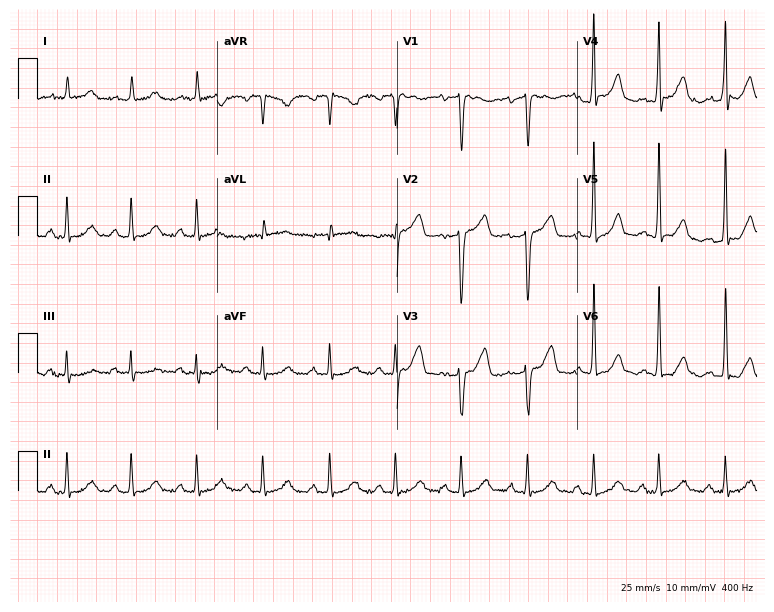
12-lead ECG (7.3-second recording at 400 Hz) from a 78-year-old female patient. Screened for six findings — first-degree AV block, right bundle branch block, left bundle branch block, sinus bradycardia, atrial fibrillation, sinus tachycardia — none is recorded. Findings outside these six are not listed.